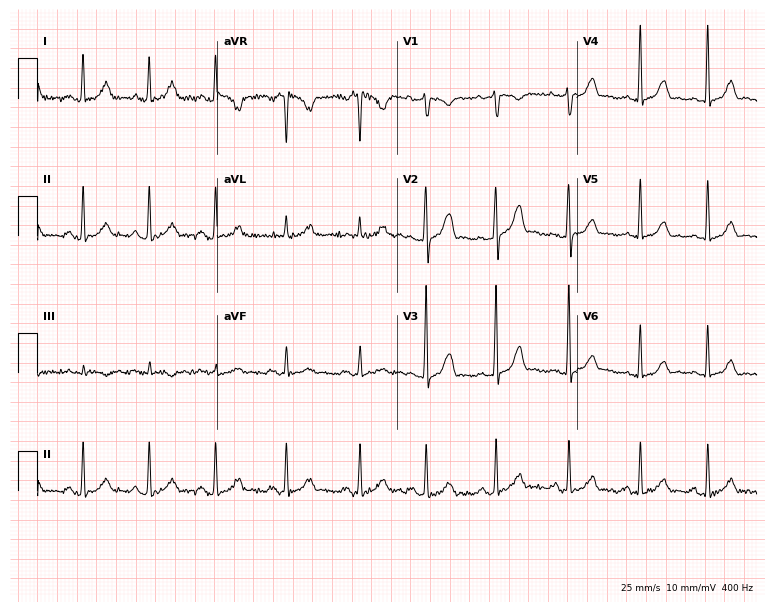
12-lead ECG from a woman, 28 years old. Recorded interpretation: within normal limits.